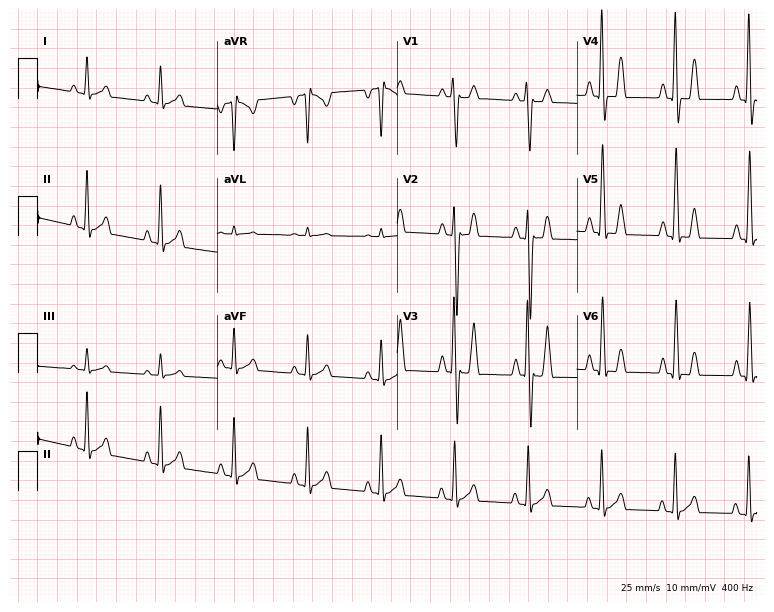
12-lead ECG (7.3-second recording at 400 Hz) from a 34-year-old male. Screened for six findings — first-degree AV block, right bundle branch block, left bundle branch block, sinus bradycardia, atrial fibrillation, sinus tachycardia — none is recorded.